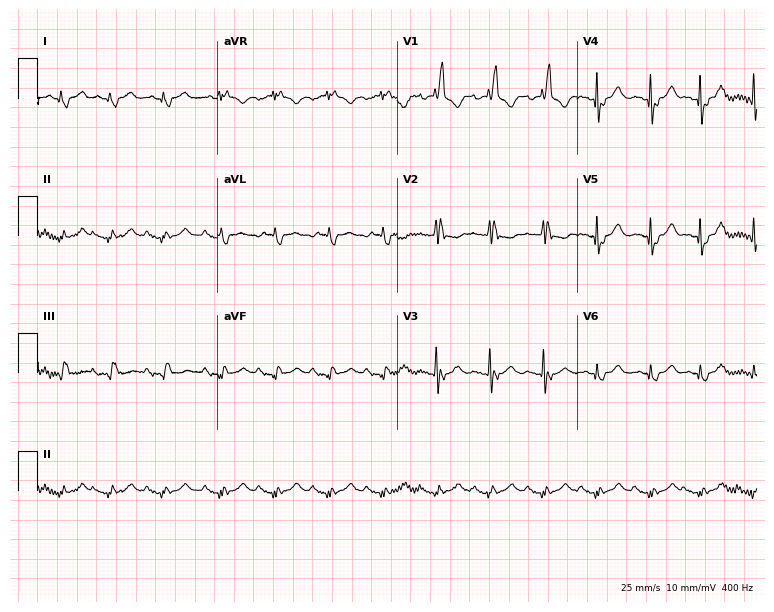
Electrocardiogram (7.3-second recording at 400 Hz), a 77-year-old male patient. Interpretation includes right bundle branch block, sinus tachycardia (a sinus rate of 100 beats per minute or more).